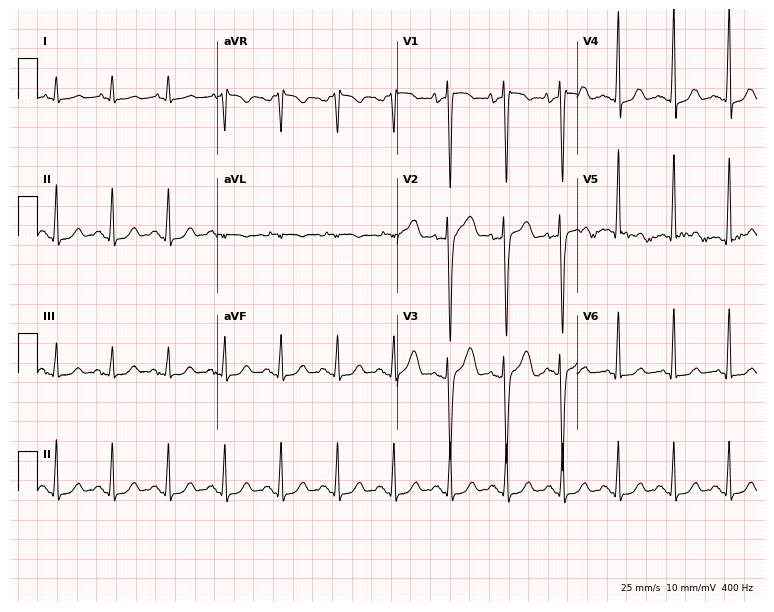
Standard 12-lead ECG recorded from a male, 47 years old (7.3-second recording at 400 Hz). The tracing shows sinus tachycardia (a sinus rate of 100 beats per minute or more).